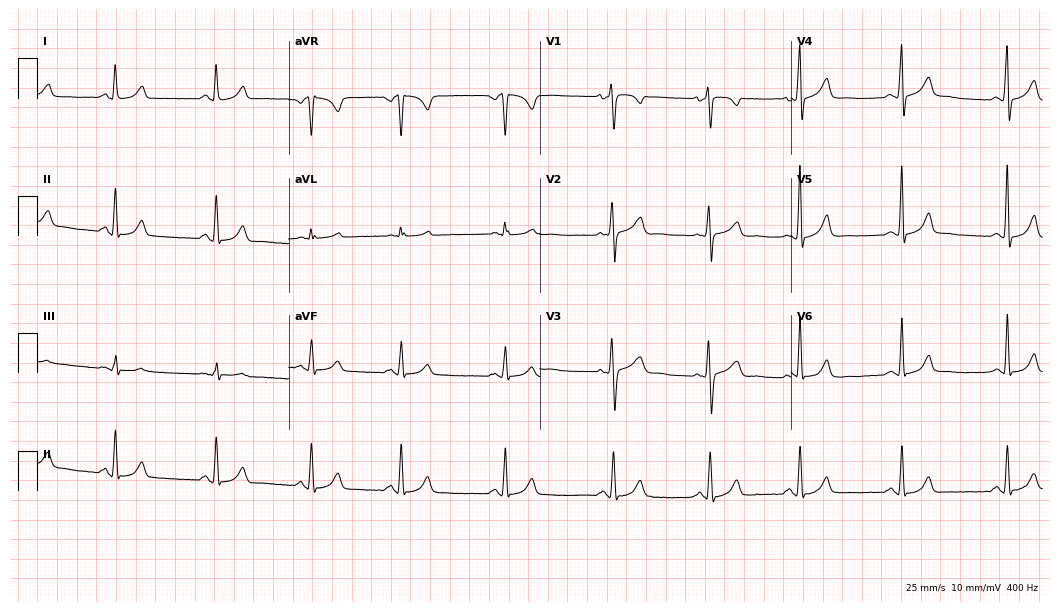
ECG — a 25-year-old female patient. Labelled as a normal ECG.